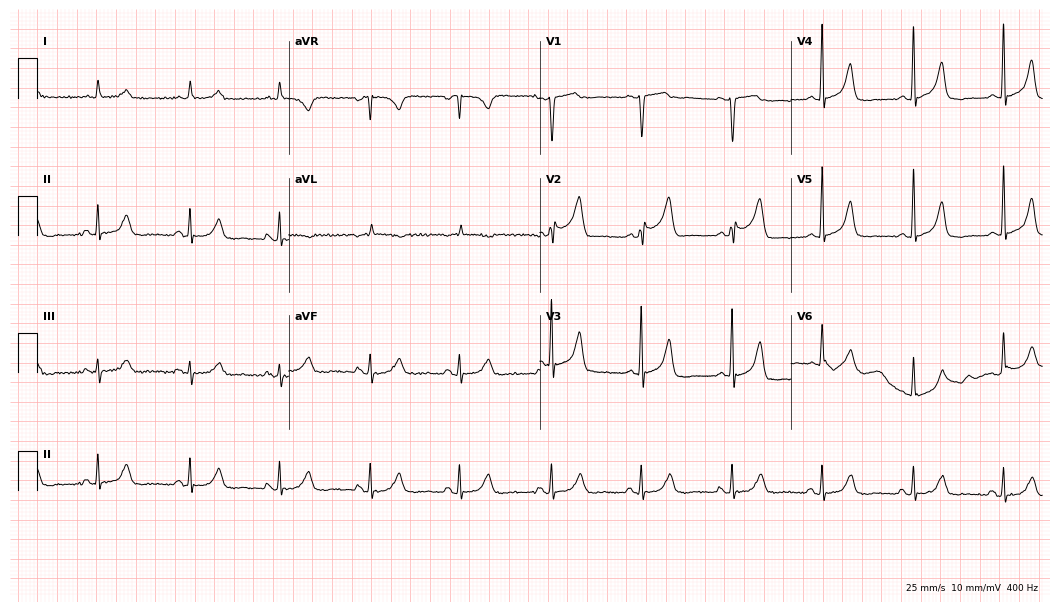
Standard 12-lead ECG recorded from a female, 83 years old. Read as a normal ECG.